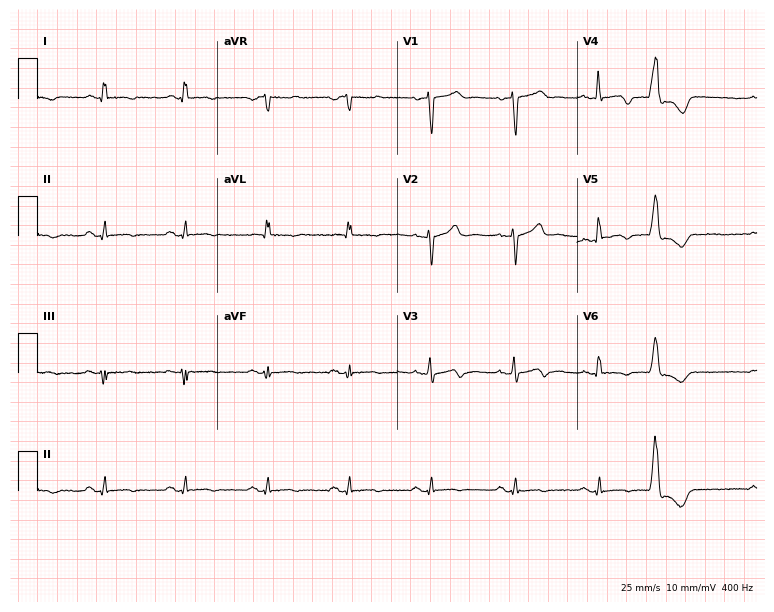
ECG — a male, 64 years old. Screened for six findings — first-degree AV block, right bundle branch block (RBBB), left bundle branch block (LBBB), sinus bradycardia, atrial fibrillation (AF), sinus tachycardia — none is recorded. Only these six findings were labelled.